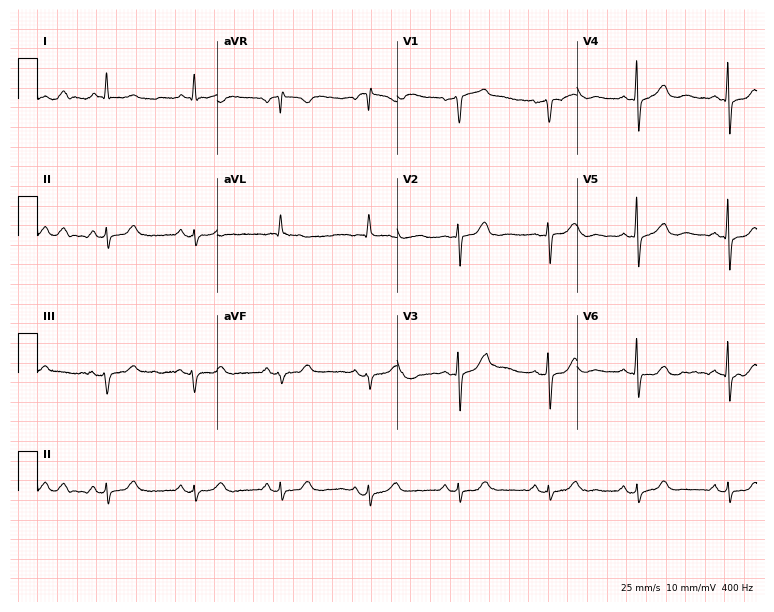
12-lead ECG (7.3-second recording at 400 Hz) from a man, 78 years old. Screened for six findings — first-degree AV block, right bundle branch block, left bundle branch block, sinus bradycardia, atrial fibrillation, sinus tachycardia — none is recorded.